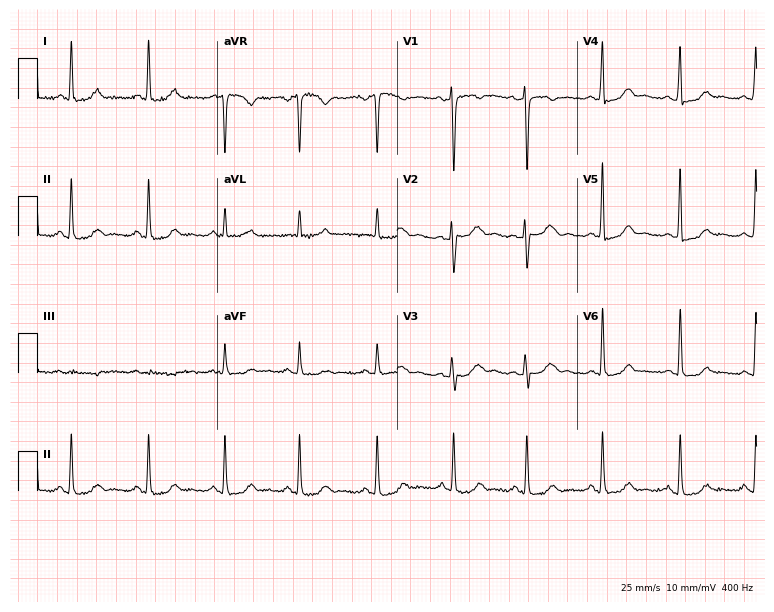
12-lead ECG (7.3-second recording at 400 Hz) from a 34-year-old woman. Screened for six findings — first-degree AV block, right bundle branch block, left bundle branch block, sinus bradycardia, atrial fibrillation, sinus tachycardia — none is recorded.